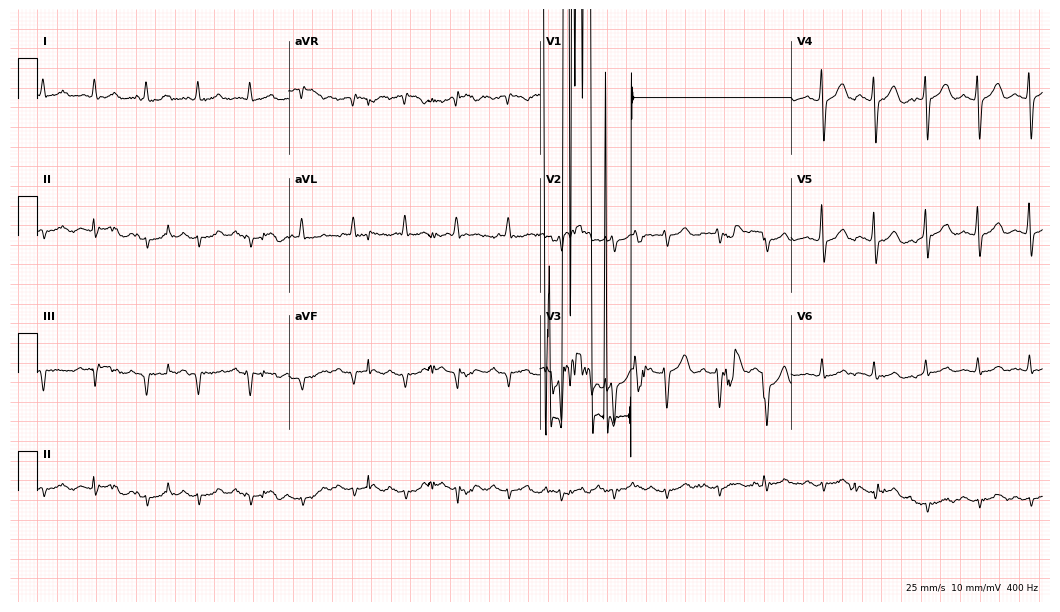
Electrocardiogram, a male, 77 years old. Of the six screened findings (first-degree AV block, right bundle branch block (RBBB), left bundle branch block (LBBB), sinus bradycardia, atrial fibrillation (AF), sinus tachycardia), none is recorded. Other findings, if any, are not listed.